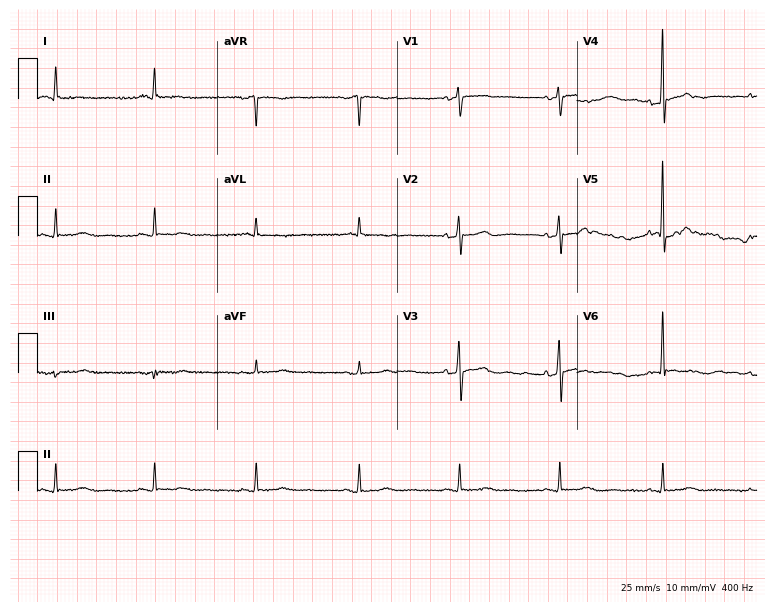
ECG — a 66-year-old female. Screened for six findings — first-degree AV block, right bundle branch block, left bundle branch block, sinus bradycardia, atrial fibrillation, sinus tachycardia — none is recorded.